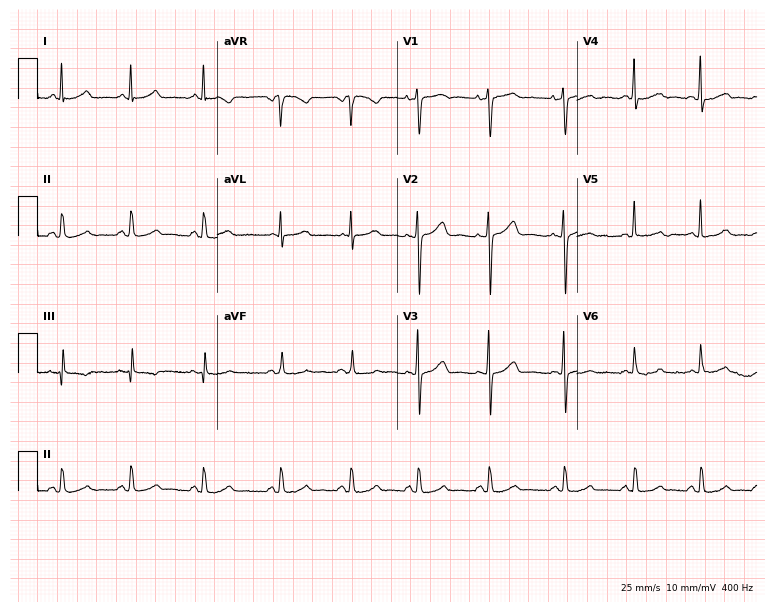
12-lead ECG from a female patient, 41 years old. No first-degree AV block, right bundle branch block, left bundle branch block, sinus bradycardia, atrial fibrillation or sinus tachycardia recorded for this tracing.